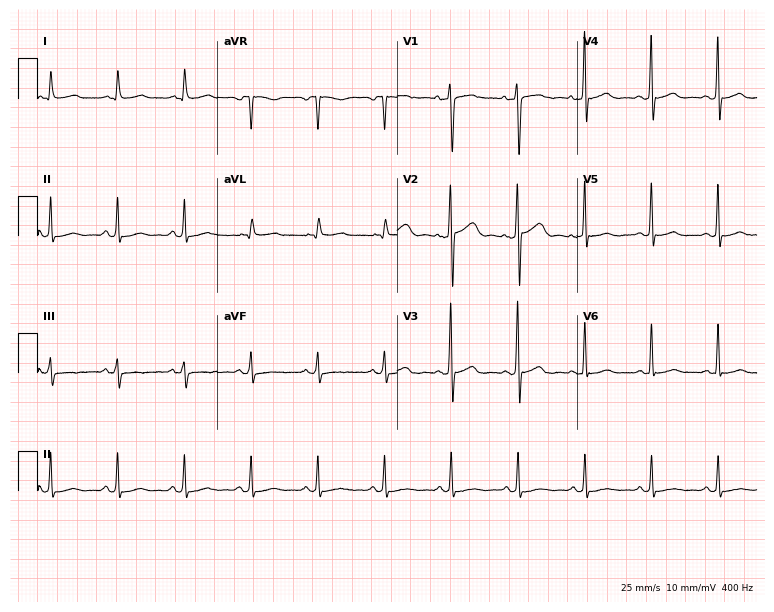
Standard 12-lead ECG recorded from a 42-year-old male. Read as a normal ECG.